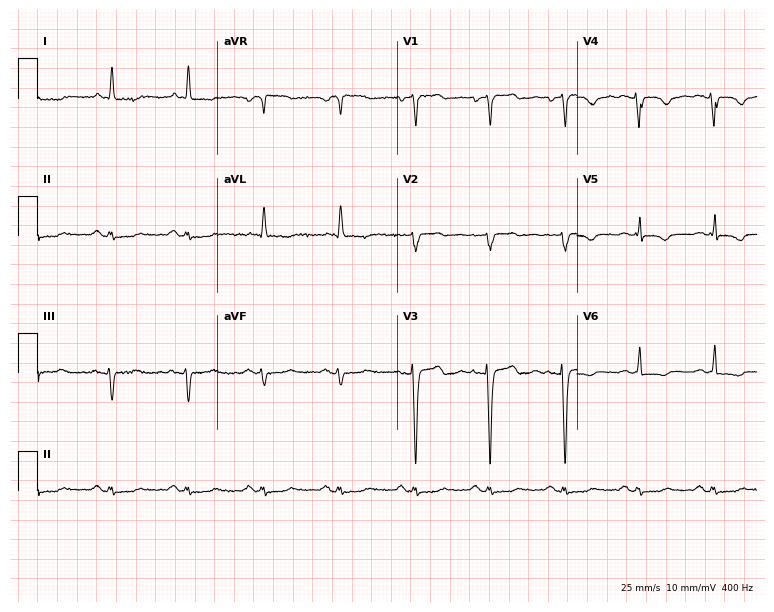
Electrocardiogram, a 69-year-old female patient. Of the six screened findings (first-degree AV block, right bundle branch block, left bundle branch block, sinus bradycardia, atrial fibrillation, sinus tachycardia), none is recorded.